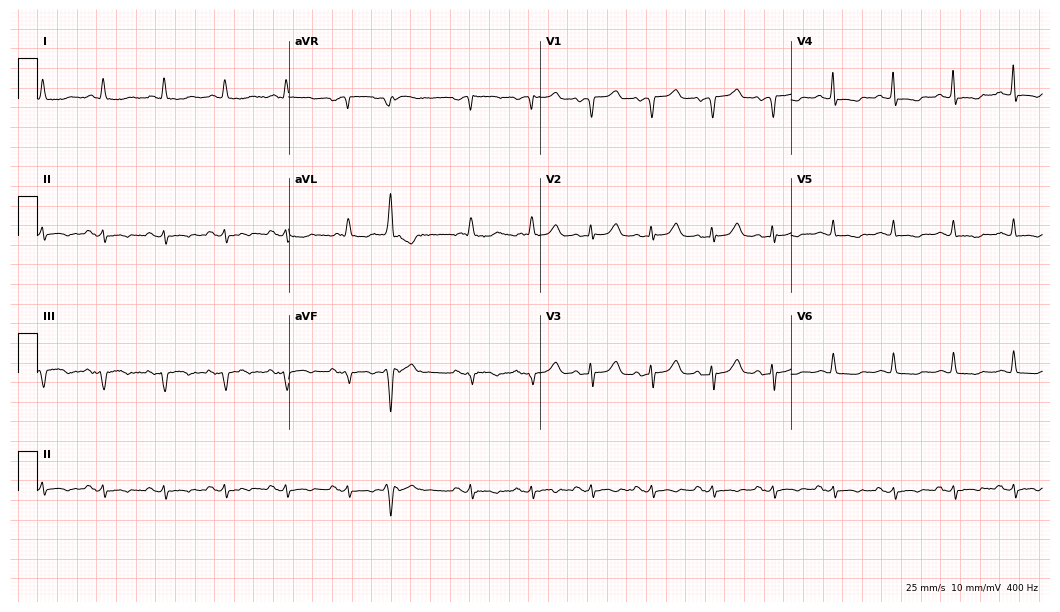
ECG (10.2-second recording at 400 Hz) — an 80-year-old woman. Screened for six findings — first-degree AV block, right bundle branch block, left bundle branch block, sinus bradycardia, atrial fibrillation, sinus tachycardia — none is recorded.